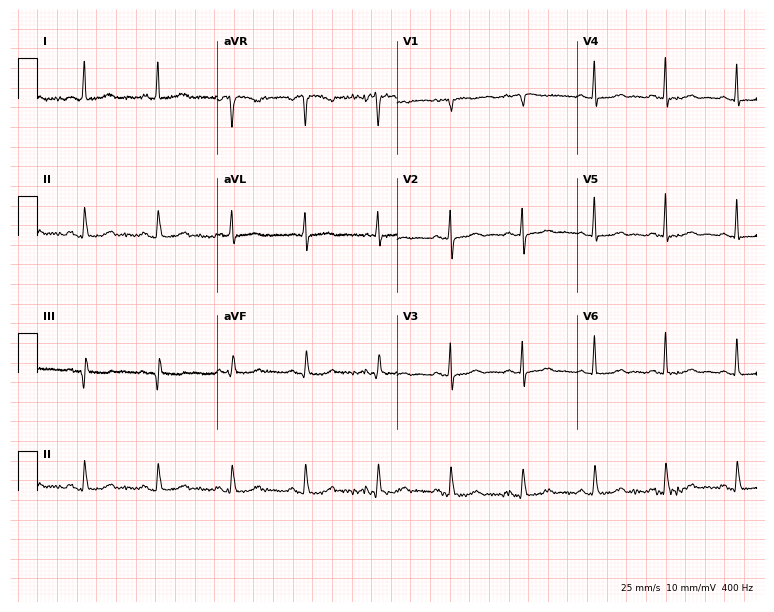
ECG (7.3-second recording at 400 Hz) — a 73-year-old female patient. Labelled as a normal ECG.